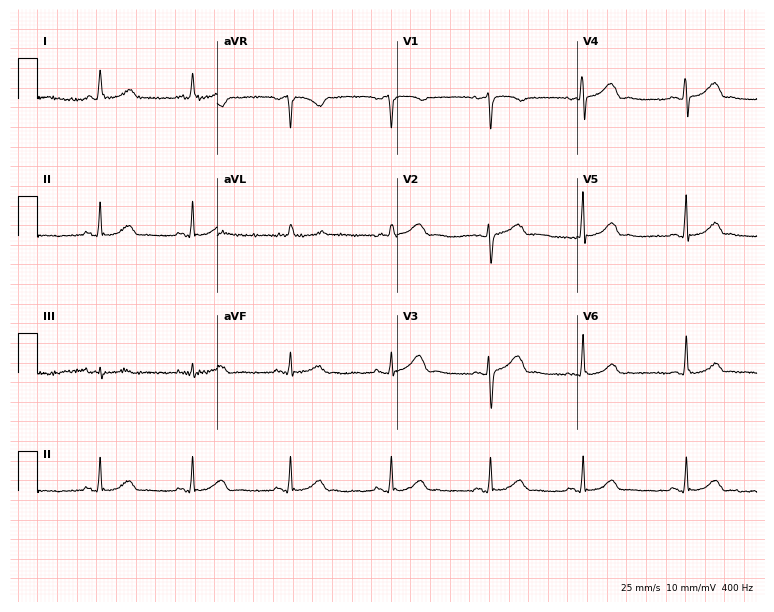
12-lead ECG from a 58-year-old woman (7.3-second recording at 400 Hz). Recorded interpretation: within normal limits.